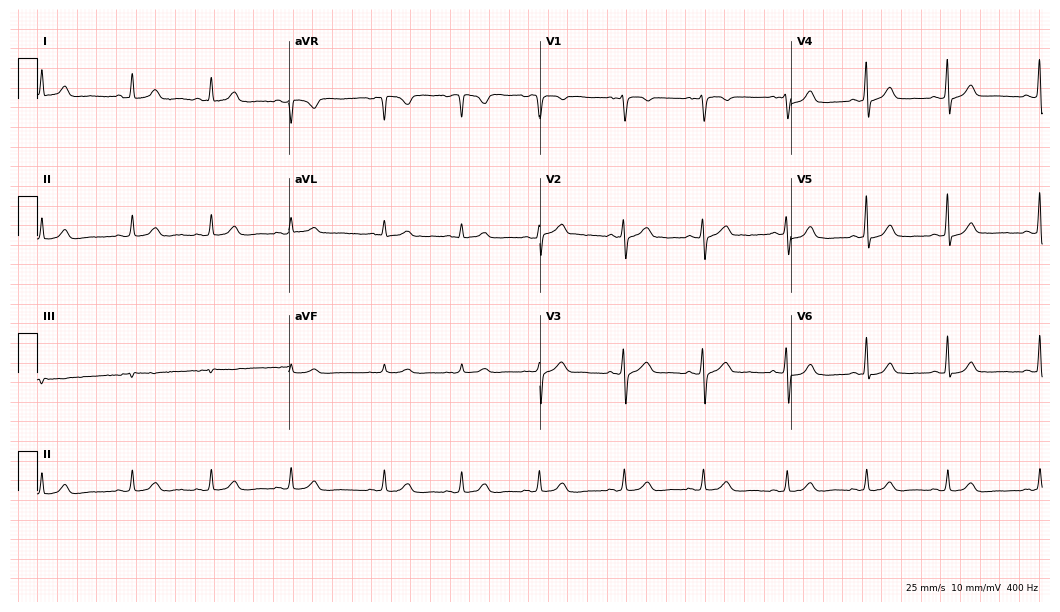
Standard 12-lead ECG recorded from a 42-year-old woman. Read as a normal ECG.